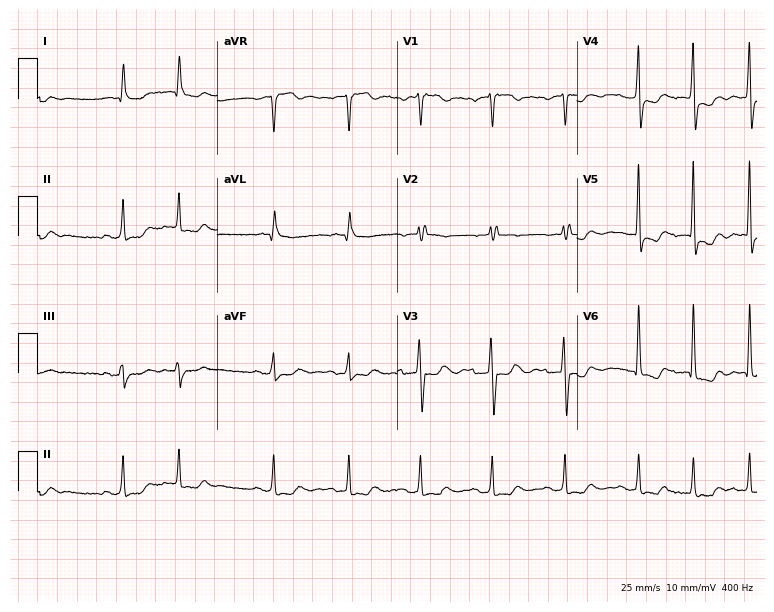
Standard 12-lead ECG recorded from an 85-year-old man. None of these six findings is recorded: first-degree AV block, right bundle branch block, left bundle branch block, sinus bradycardia, atrial fibrillation, sinus tachycardia. Findings outside these six are not listed.